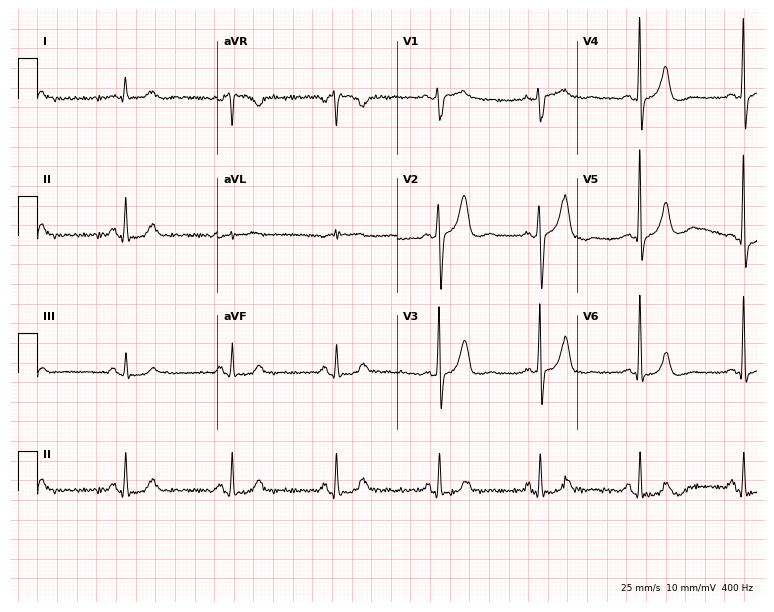
12-lead ECG from a 71-year-old man. Recorded interpretation: within normal limits.